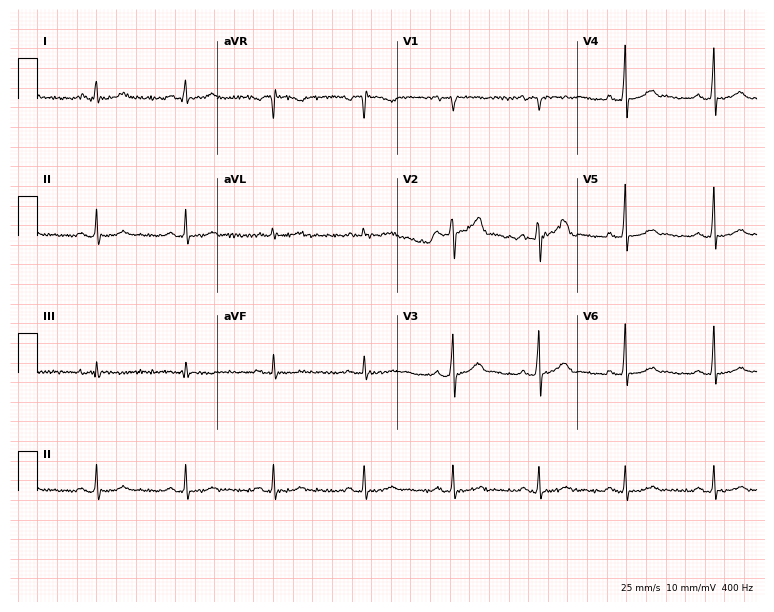
12-lead ECG from a 52-year-old male patient. Recorded interpretation: within normal limits.